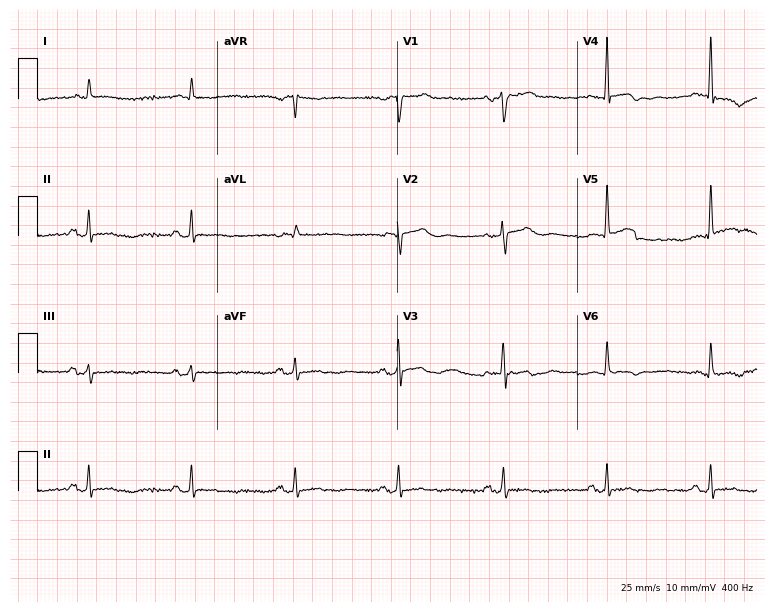
ECG — a 74-year-old man. Screened for six findings — first-degree AV block, right bundle branch block, left bundle branch block, sinus bradycardia, atrial fibrillation, sinus tachycardia — none is recorded. Findings outside these six are not listed.